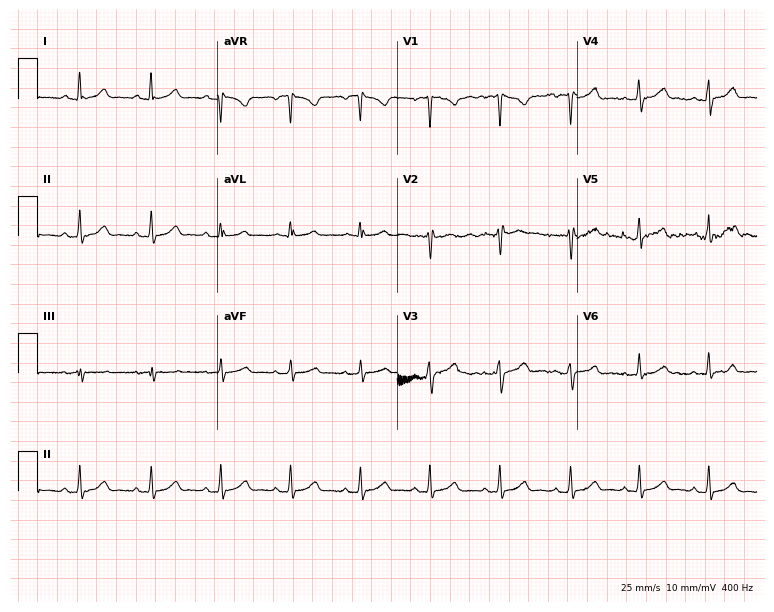
12-lead ECG (7.3-second recording at 400 Hz) from a 22-year-old woman. Screened for six findings — first-degree AV block, right bundle branch block (RBBB), left bundle branch block (LBBB), sinus bradycardia, atrial fibrillation (AF), sinus tachycardia — none is recorded.